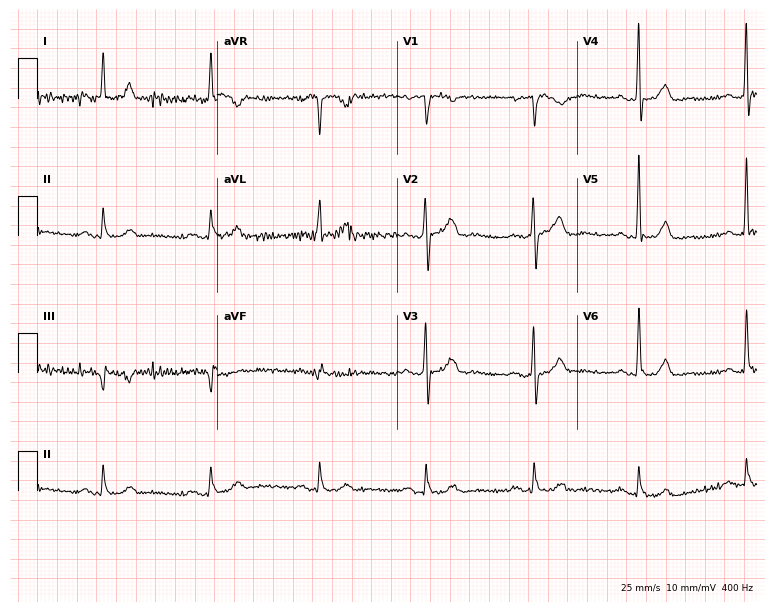
Electrocardiogram, a 61-year-old male. Of the six screened findings (first-degree AV block, right bundle branch block (RBBB), left bundle branch block (LBBB), sinus bradycardia, atrial fibrillation (AF), sinus tachycardia), none is recorded.